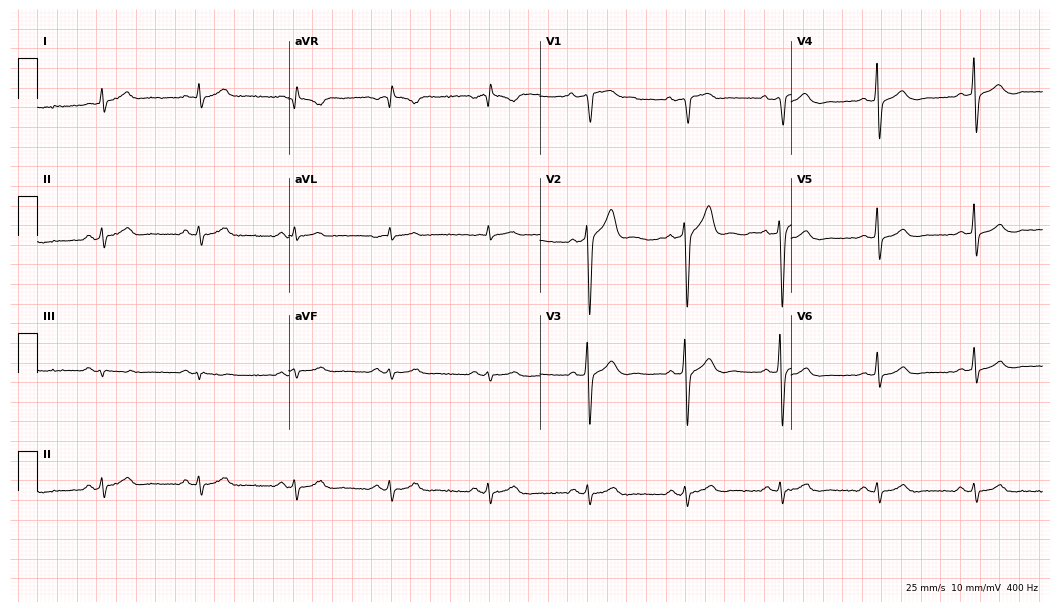
Resting 12-lead electrocardiogram (10.2-second recording at 400 Hz). Patient: a male, 62 years old. Read as a normal ECG.